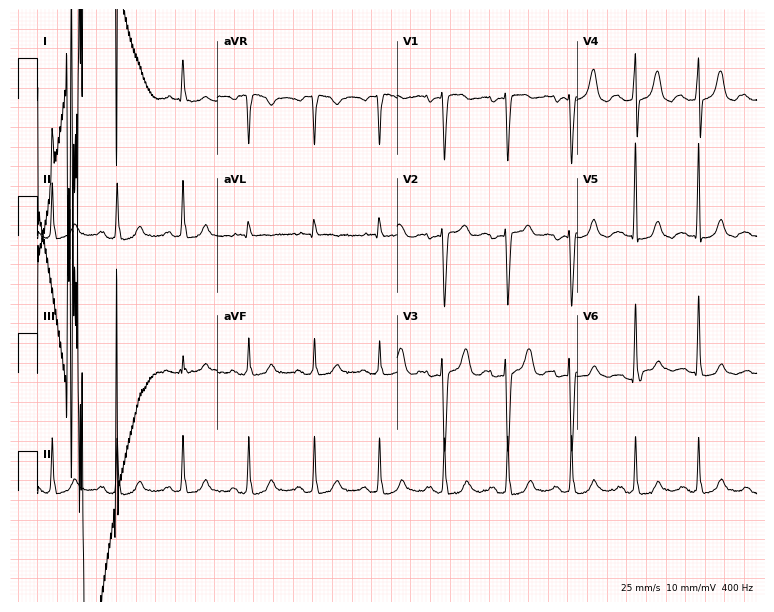
Resting 12-lead electrocardiogram (7.3-second recording at 400 Hz). Patient: an 81-year-old woman. None of these six findings is recorded: first-degree AV block, right bundle branch block, left bundle branch block, sinus bradycardia, atrial fibrillation, sinus tachycardia.